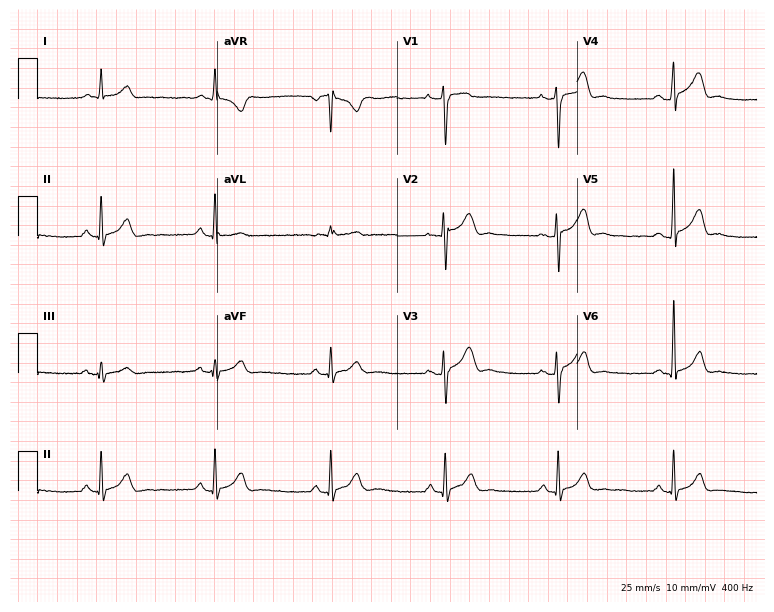
Resting 12-lead electrocardiogram (7.3-second recording at 400 Hz). Patient: a 27-year-old male. Read as a normal ECG.